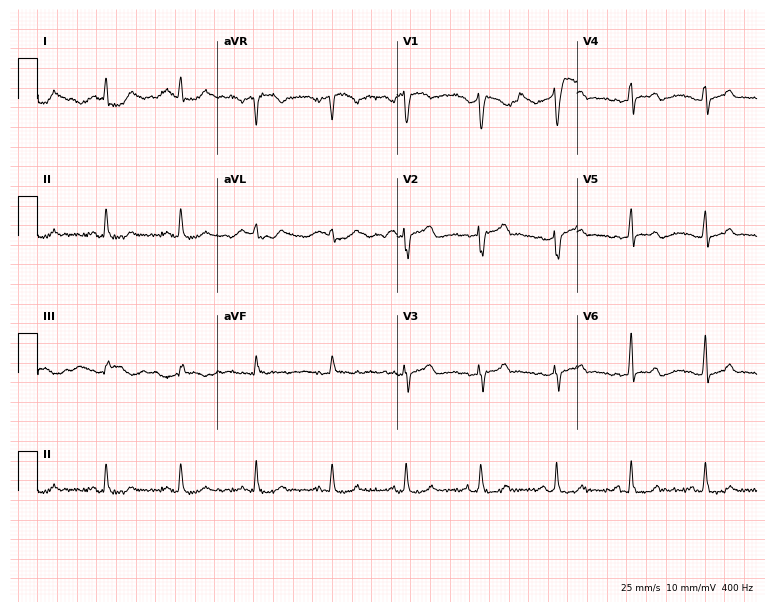
ECG — a female, 43 years old. Labelled as a normal ECG.